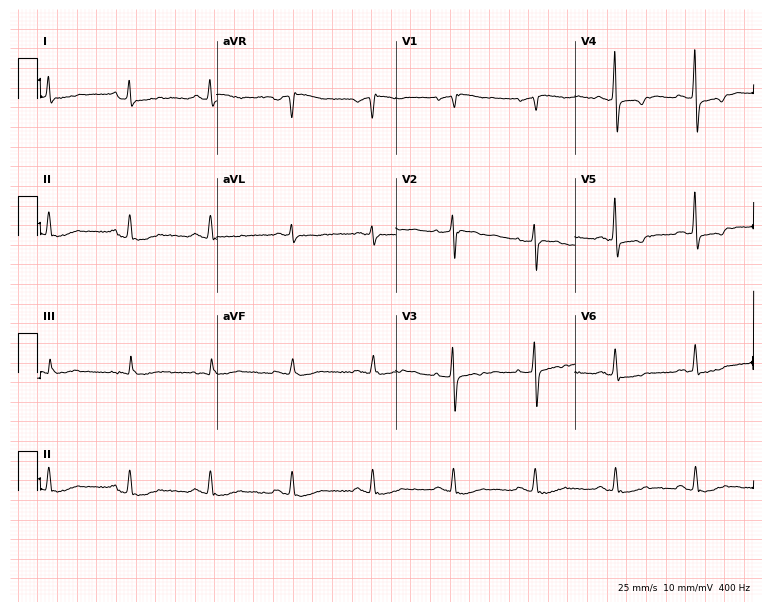
12-lead ECG from a 66-year-old male. No first-degree AV block, right bundle branch block, left bundle branch block, sinus bradycardia, atrial fibrillation or sinus tachycardia recorded for this tracing.